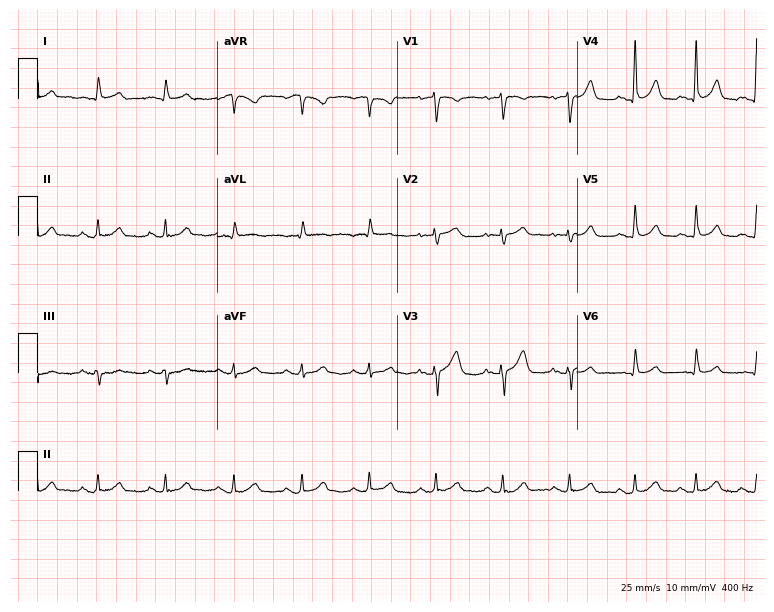
12-lead ECG from an 81-year-old female patient. Labelled as a normal ECG.